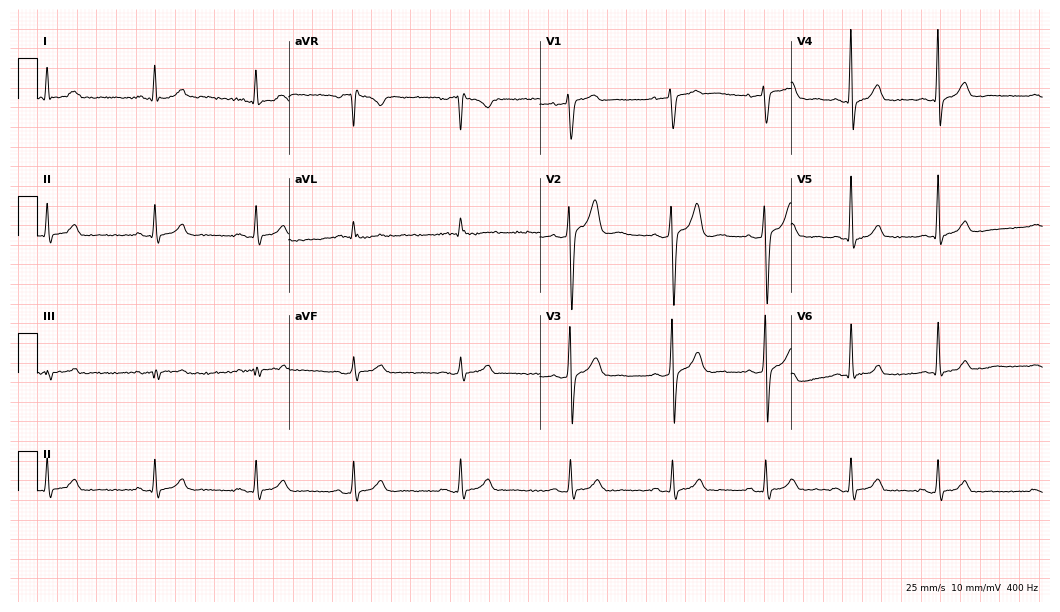
Resting 12-lead electrocardiogram. Patient: a man, 25 years old. Read as a normal ECG.